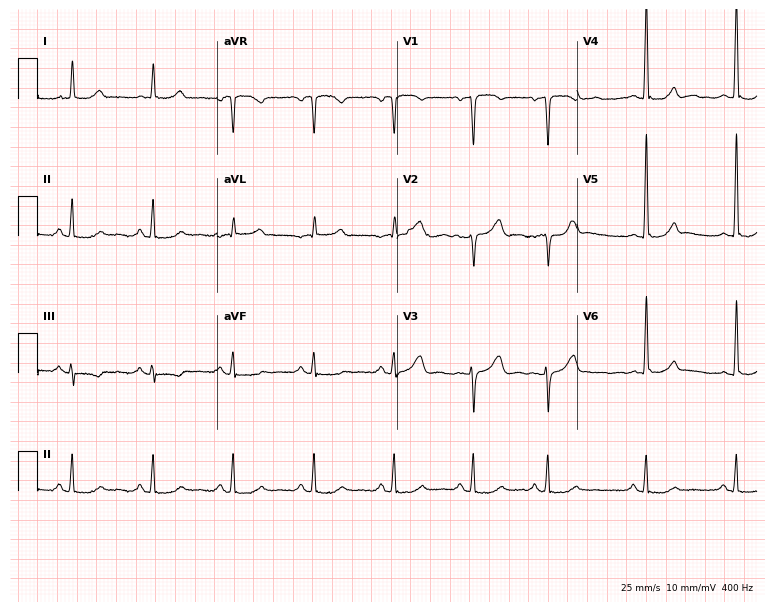
ECG (7.3-second recording at 400 Hz) — a female patient, 45 years old. Screened for six findings — first-degree AV block, right bundle branch block (RBBB), left bundle branch block (LBBB), sinus bradycardia, atrial fibrillation (AF), sinus tachycardia — none is recorded. Other findings, if any, are not listed.